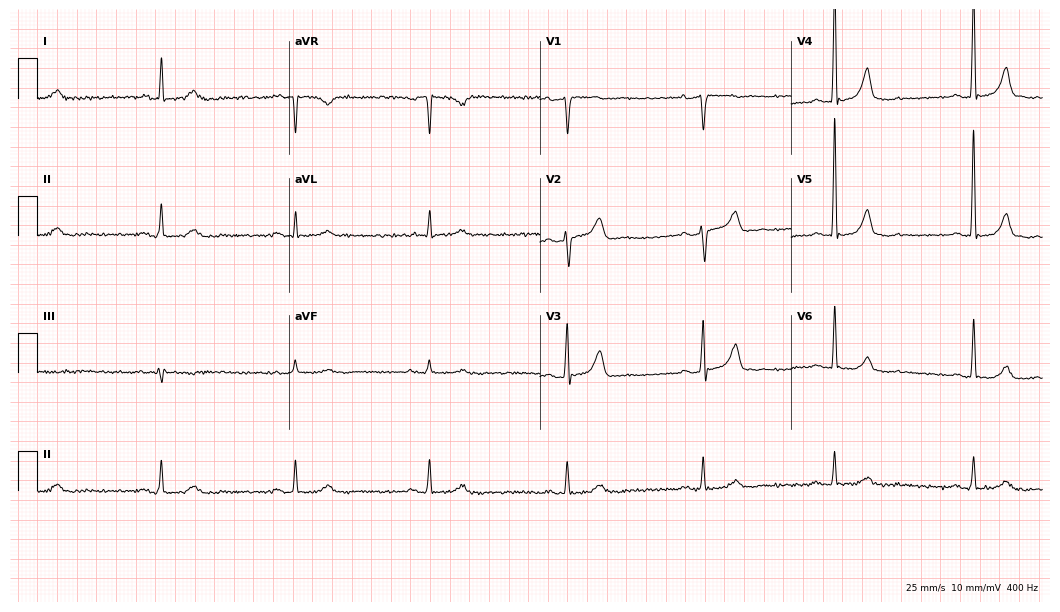
Standard 12-lead ECG recorded from a male, 67 years old (10.2-second recording at 400 Hz). None of these six findings is recorded: first-degree AV block, right bundle branch block (RBBB), left bundle branch block (LBBB), sinus bradycardia, atrial fibrillation (AF), sinus tachycardia. Other findings, if any, are not listed.